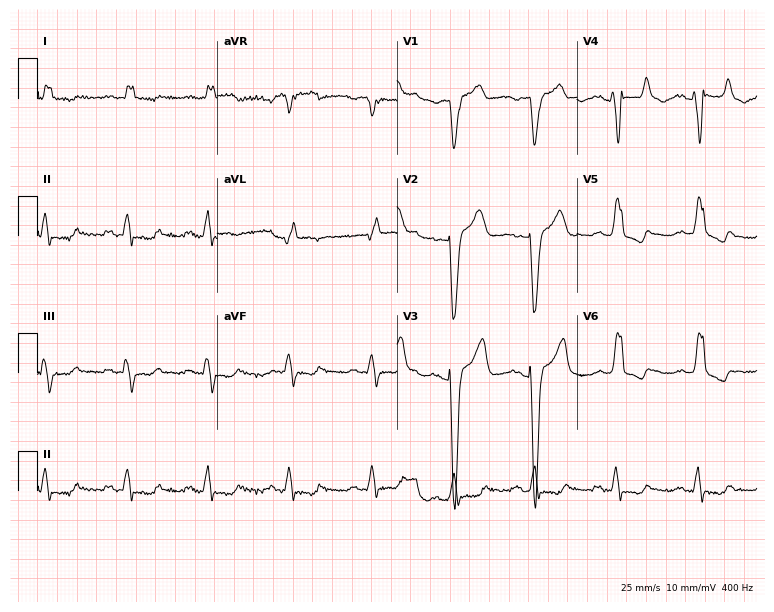
Electrocardiogram, a male patient, 65 years old. Interpretation includes left bundle branch block (LBBB).